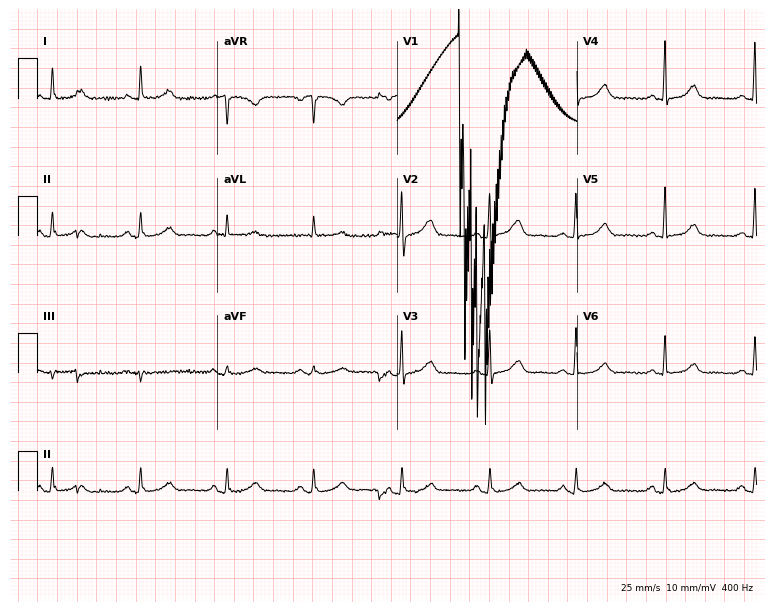
12-lead ECG from a woman, 76 years old (7.3-second recording at 400 Hz). Recorded interpretation: within normal limits.